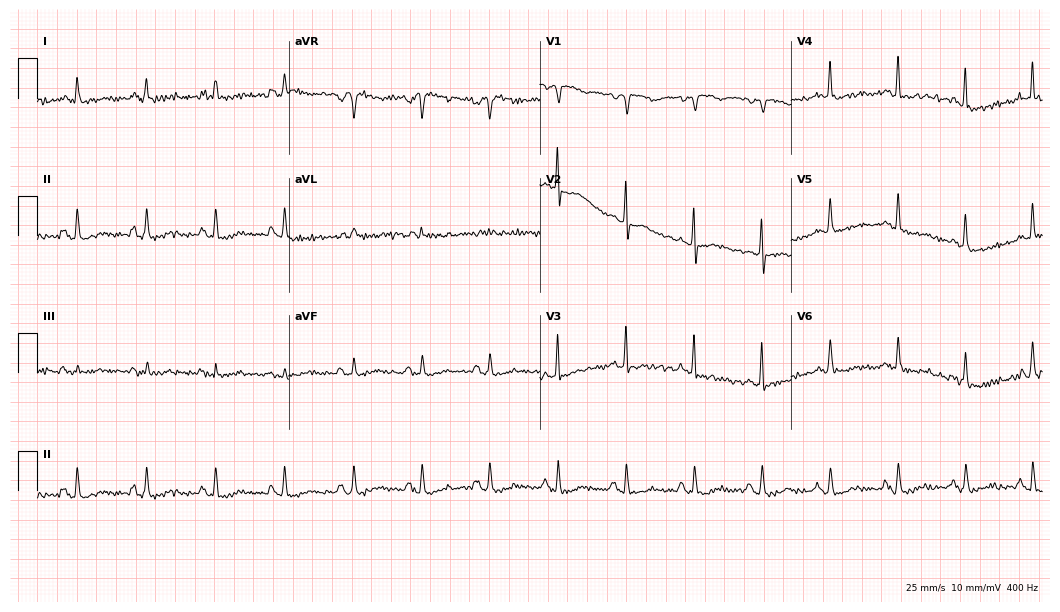
12-lead ECG from an 84-year-old female (10.2-second recording at 400 Hz). No first-degree AV block, right bundle branch block (RBBB), left bundle branch block (LBBB), sinus bradycardia, atrial fibrillation (AF) or sinus tachycardia recorded for this tracing.